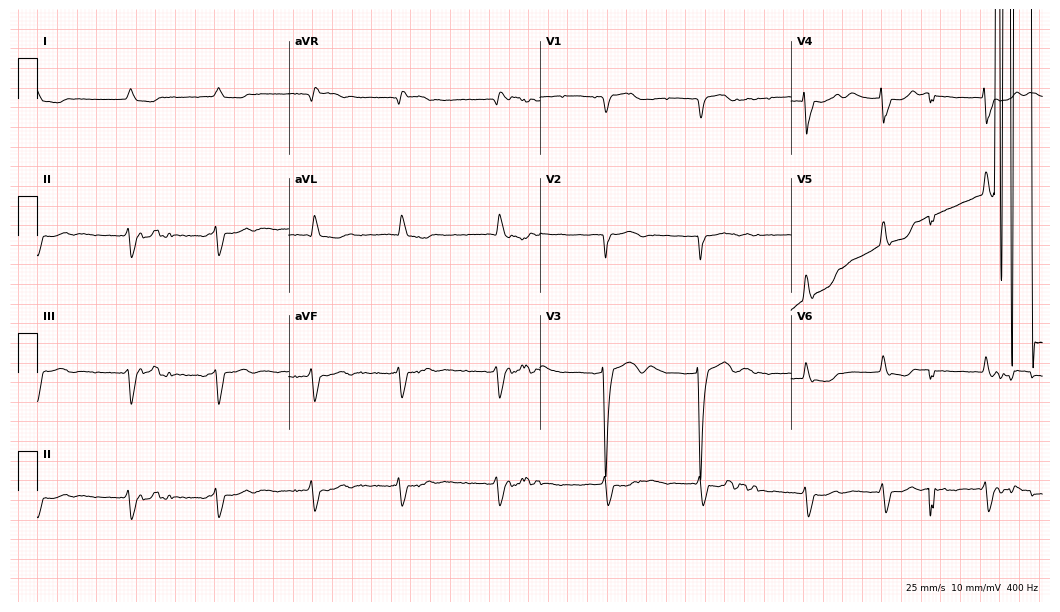
Resting 12-lead electrocardiogram. Patient: a male, 82 years old. The tracing shows atrial fibrillation.